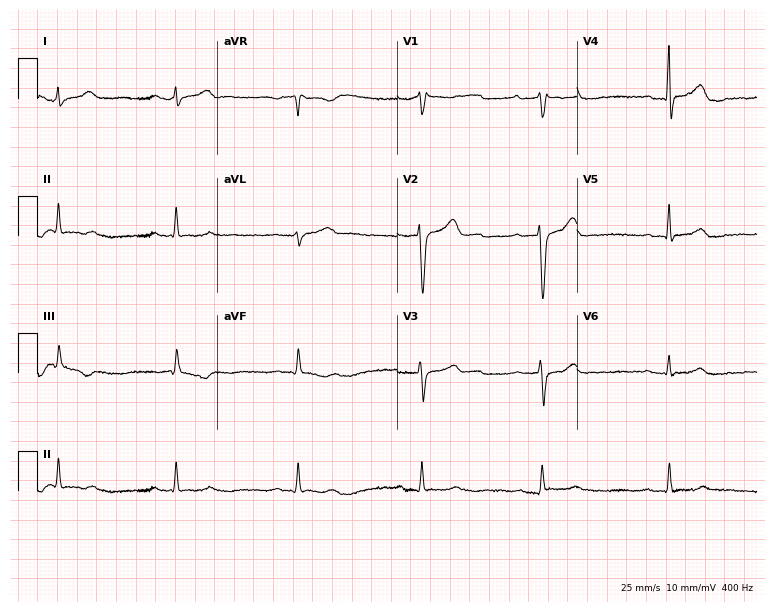
Resting 12-lead electrocardiogram. Patient: a male, 31 years old. The tracing shows sinus bradycardia (a sinus rate of 50 beats per minute or less).